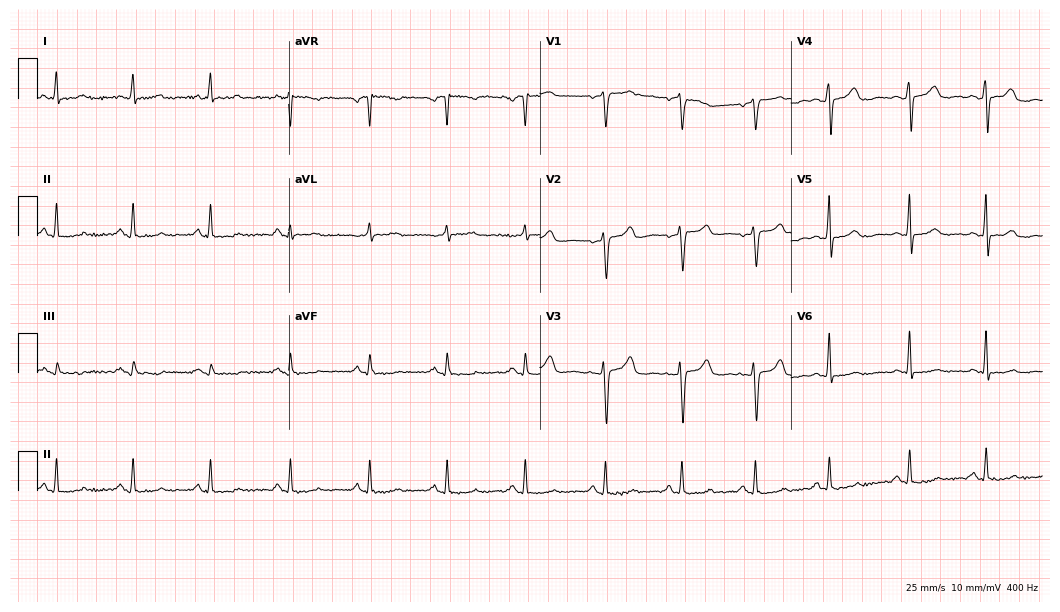
12-lead ECG from a 42-year-old female patient (10.2-second recording at 400 Hz). Recorded interpretation: within normal limits.